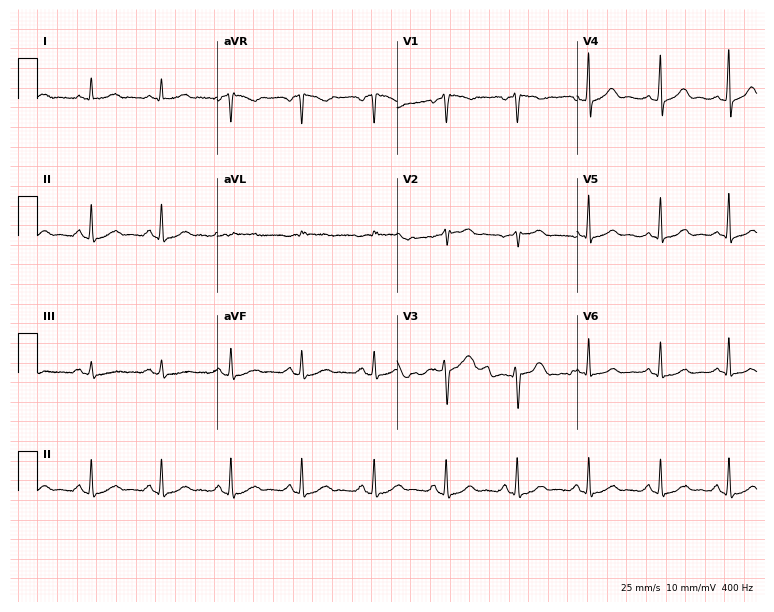
12-lead ECG (7.3-second recording at 400 Hz) from a woman, 34 years old. Labelled as a normal ECG.